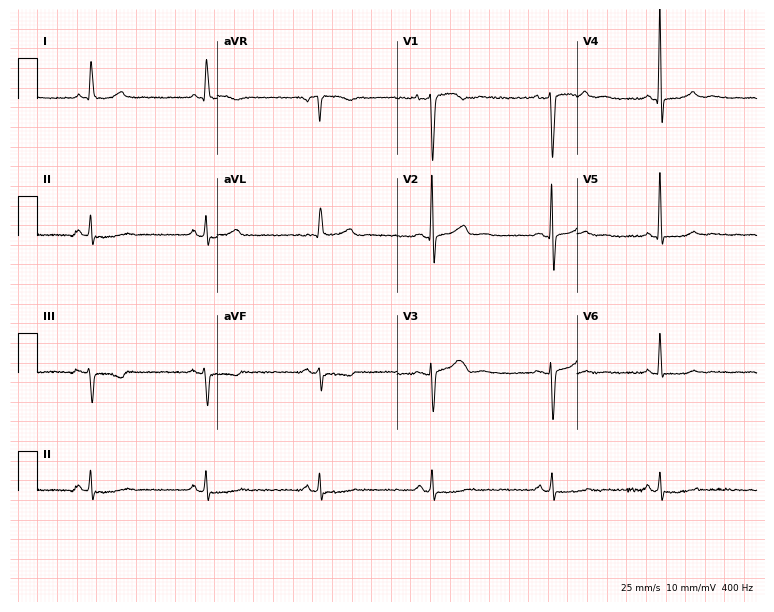
Resting 12-lead electrocardiogram. Patient: a 48-year-old female. None of these six findings is recorded: first-degree AV block, right bundle branch block, left bundle branch block, sinus bradycardia, atrial fibrillation, sinus tachycardia.